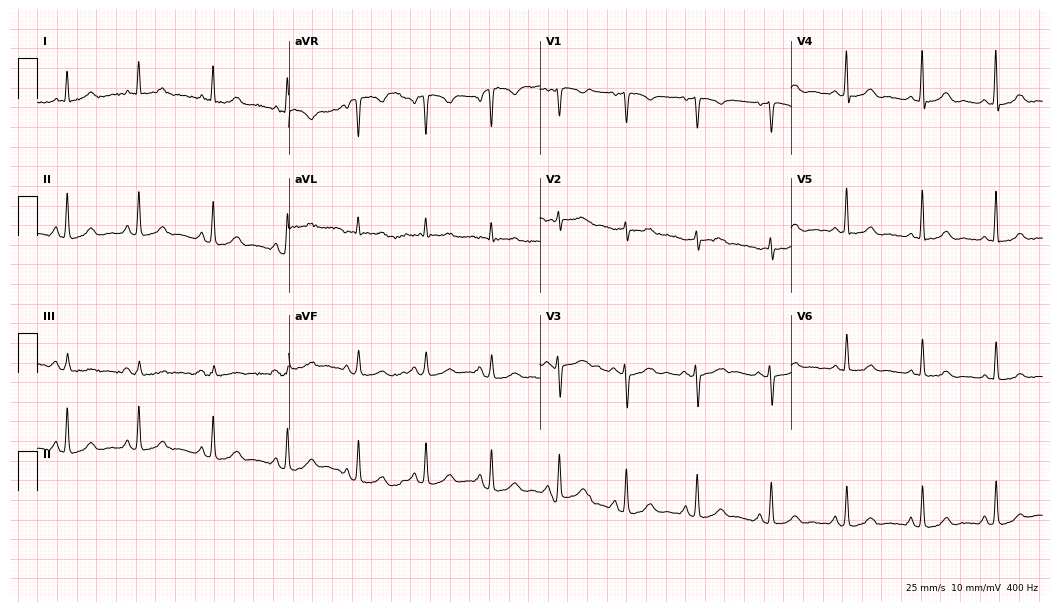
12-lead ECG (10.2-second recording at 400 Hz) from a 39-year-old female patient. Labelled as a normal ECG.